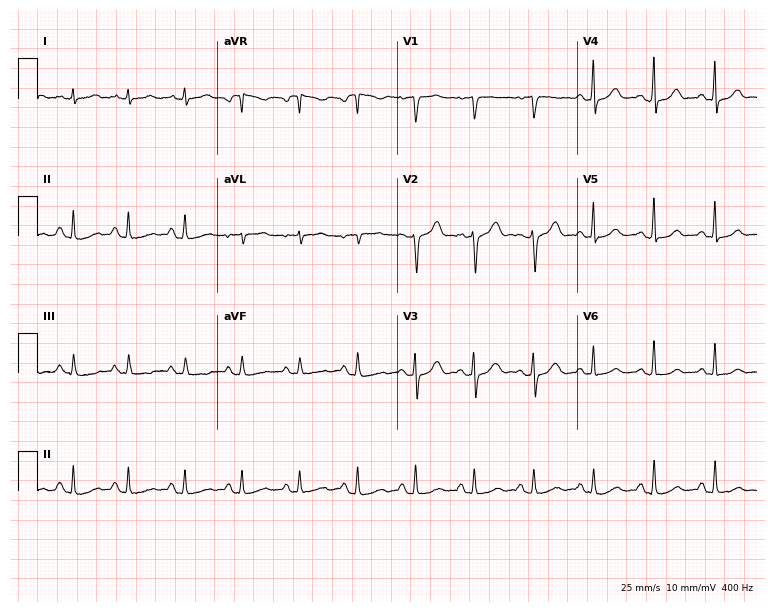
Standard 12-lead ECG recorded from a woman, 35 years old. None of these six findings is recorded: first-degree AV block, right bundle branch block, left bundle branch block, sinus bradycardia, atrial fibrillation, sinus tachycardia. Findings outside these six are not listed.